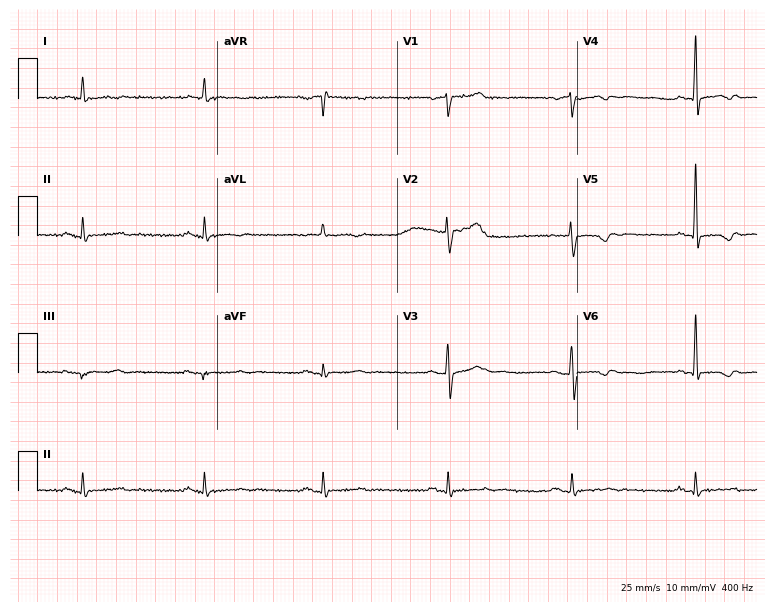
Resting 12-lead electrocardiogram (7.3-second recording at 400 Hz). Patient: a male, 78 years old. The tracing shows sinus bradycardia (a sinus rate of 50 beats per minute or less).